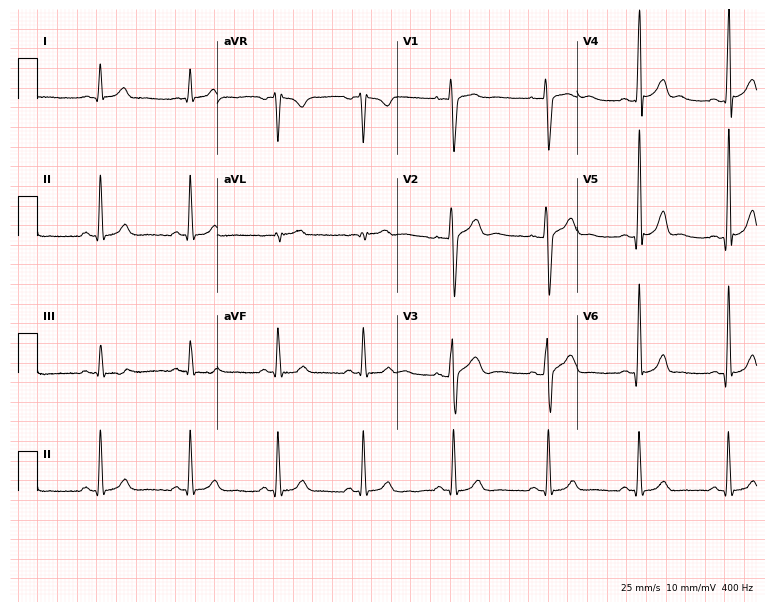
12-lead ECG (7.3-second recording at 400 Hz) from a male, 26 years old. Labelled as a normal ECG.